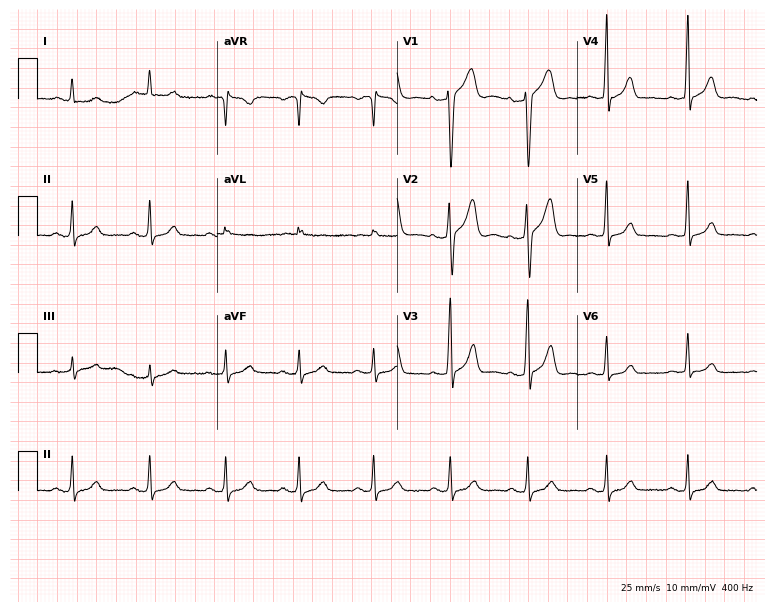
12-lead ECG from a 59-year-old male. Labelled as a normal ECG.